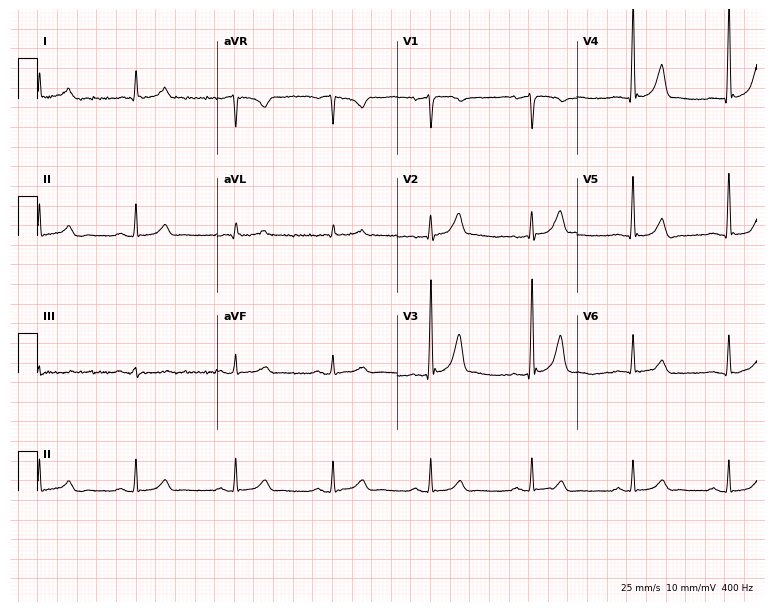
Electrocardiogram, a male patient, 58 years old. Overall reading on record: normal ECG.